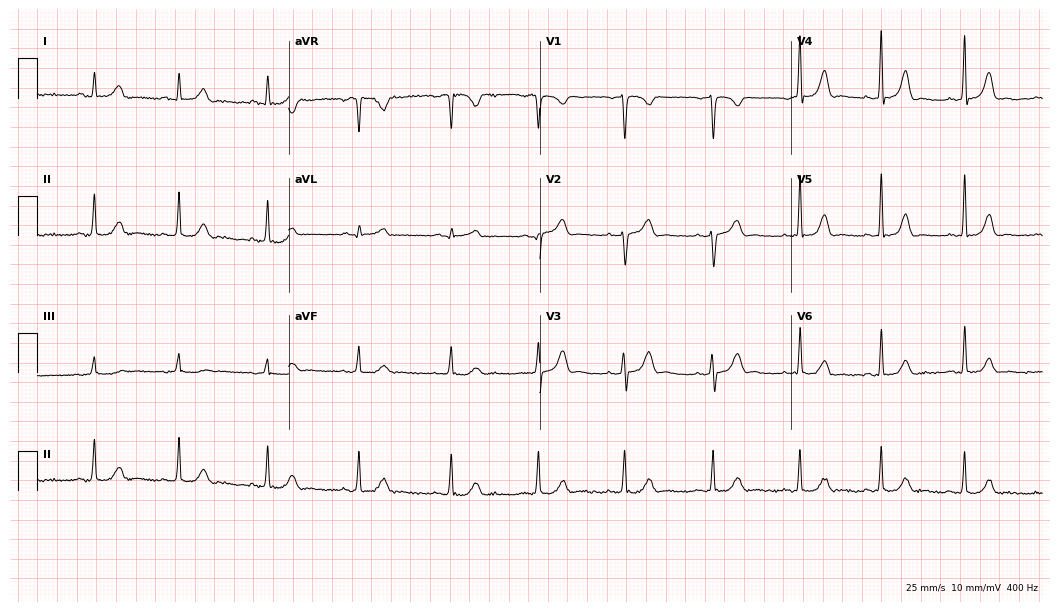
Electrocardiogram, a 33-year-old female. Overall reading on record: normal ECG.